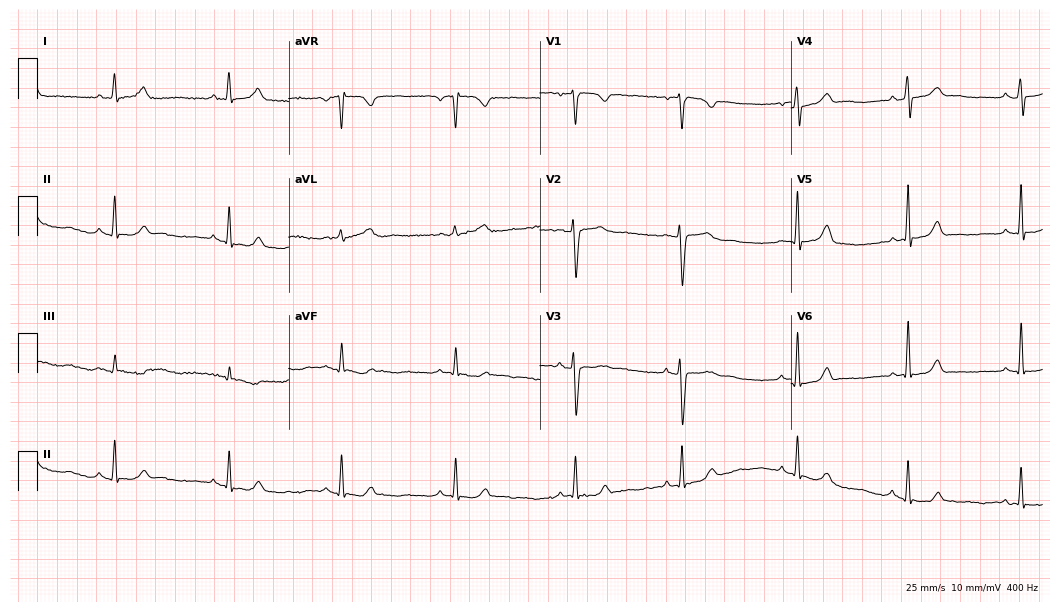
12-lead ECG from a 24-year-old woman (10.2-second recording at 400 Hz). Recorded interpretation: within normal limits.